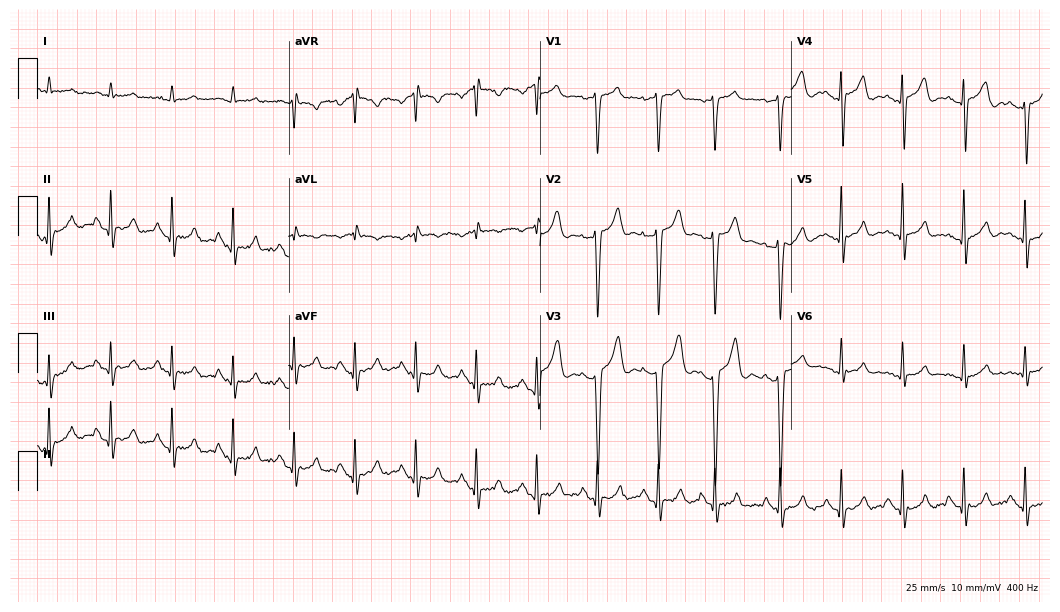
ECG — a man, 84 years old. Labelled as a normal ECG.